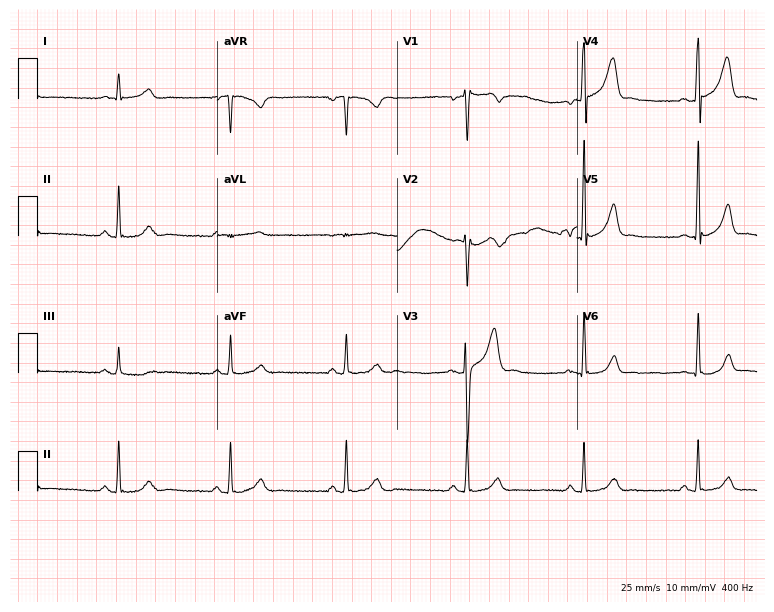
ECG — a 32-year-old male. Labelled as a normal ECG.